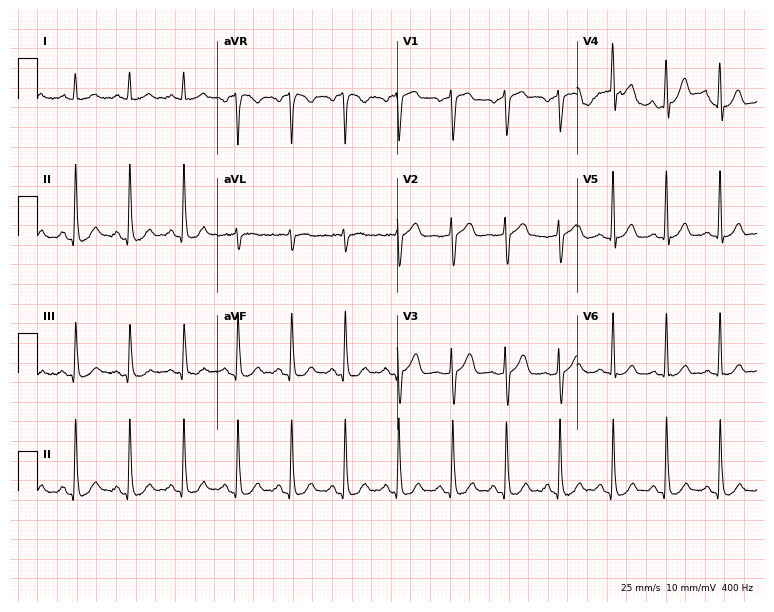
Electrocardiogram, a 70-year-old male patient. Interpretation includes sinus tachycardia (a sinus rate of 100 beats per minute or more).